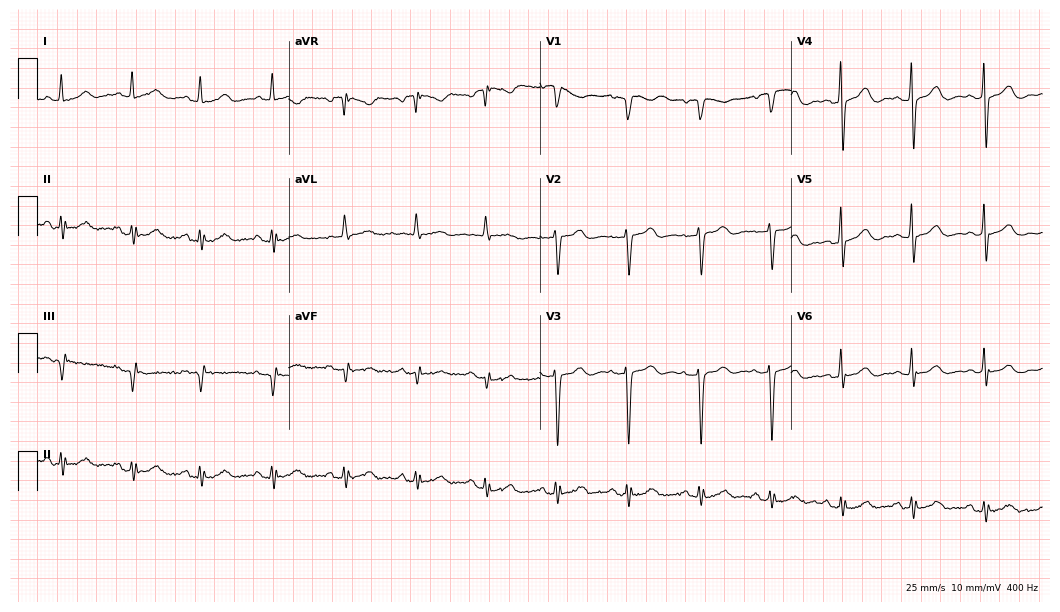
ECG (10.2-second recording at 400 Hz) — a woman, 81 years old. Labelled as a normal ECG.